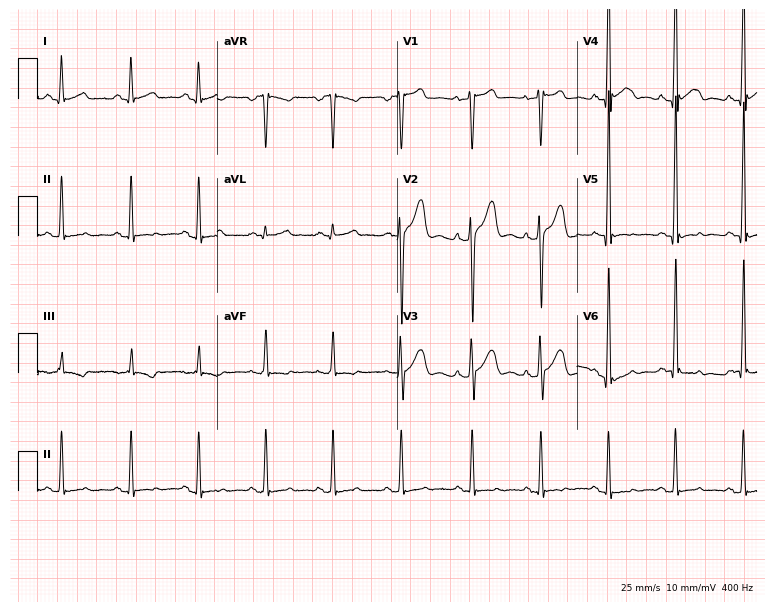
12-lead ECG from a 28-year-old man (7.3-second recording at 400 Hz). No first-degree AV block, right bundle branch block (RBBB), left bundle branch block (LBBB), sinus bradycardia, atrial fibrillation (AF) or sinus tachycardia recorded for this tracing.